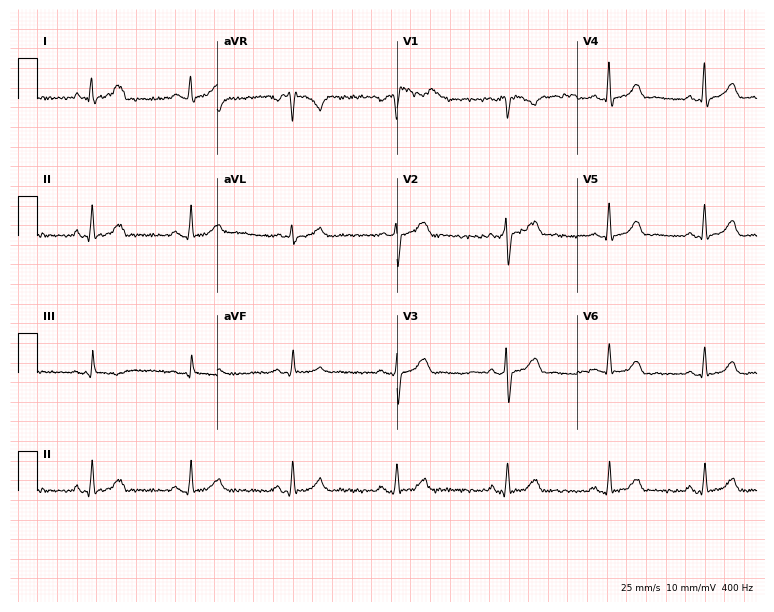
ECG — a 47-year-old female. Screened for six findings — first-degree AV block, right bundle branch block, left bundle branch block, sinus bradycardia, atrial fibrillation, sinus tachycardia — none is recorded. Findings outside these six are not listed.